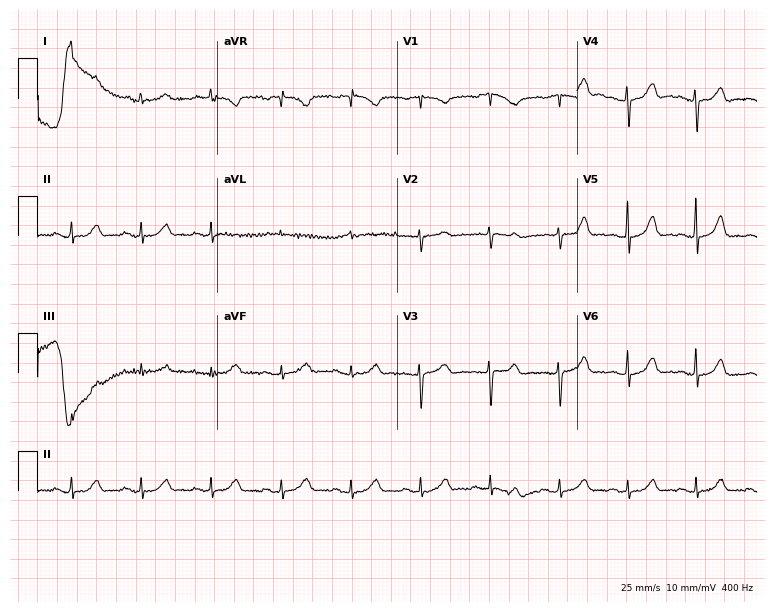
Electrocardiogram, a female patient, 52 years old. Overall reading on record: normal ECG.